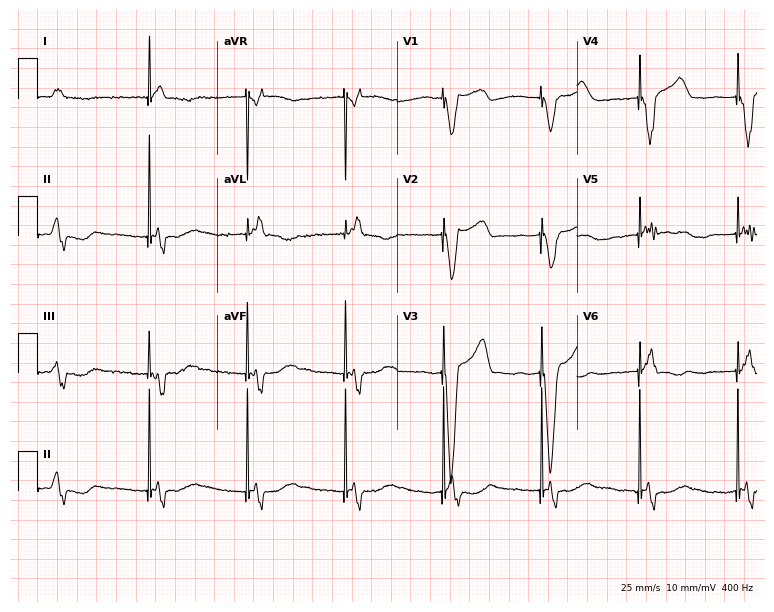
Standard 12-lead ECG recorded from a male patient, 81 years old. None of these six findings is recorded: first-degree AV block, right bundle branch block, left bundle branch block, sinus bradycardia, atrial fibrillation, sinus tachycardia. Other findings, if any, are not listed.